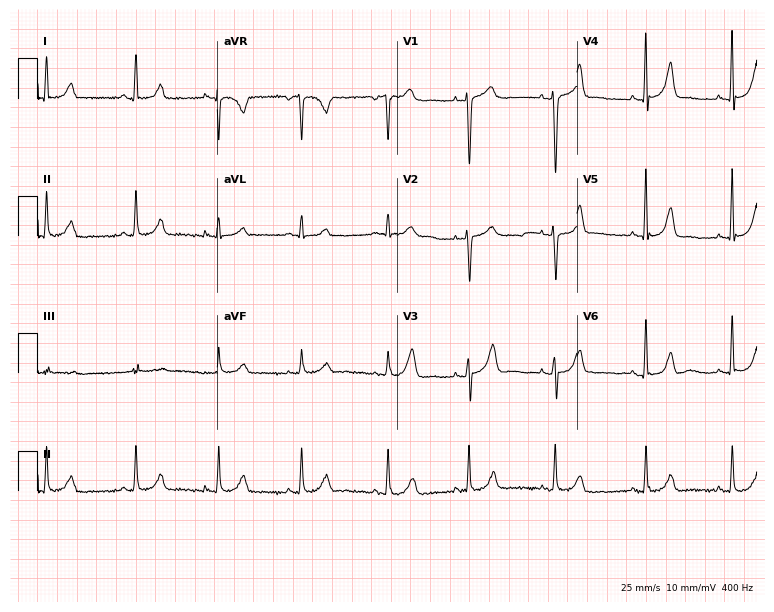
Standard 12-lead ECG recorded from a 34-year-old woman. Read as a normal ECG.